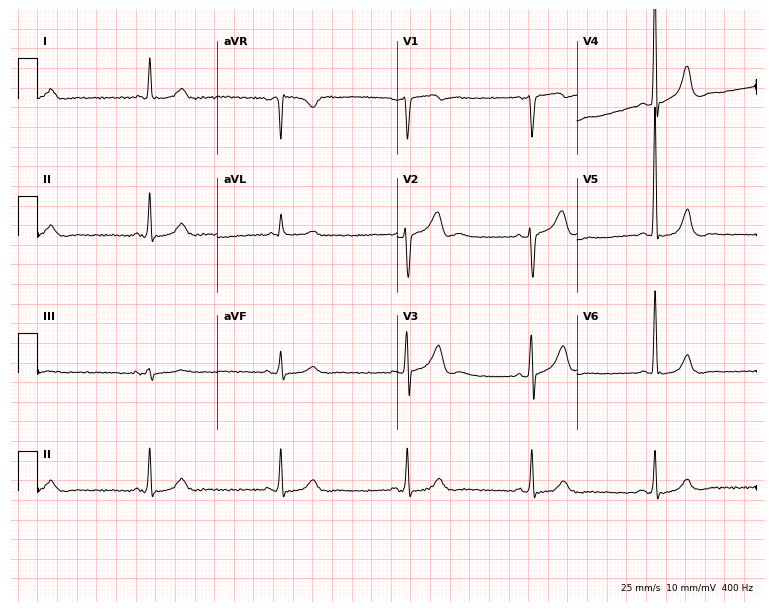
12-lead ECG from a 66-year-old male patient. Findings include sinus bradycardia (a sinus rate of 50 beats per minute or less).